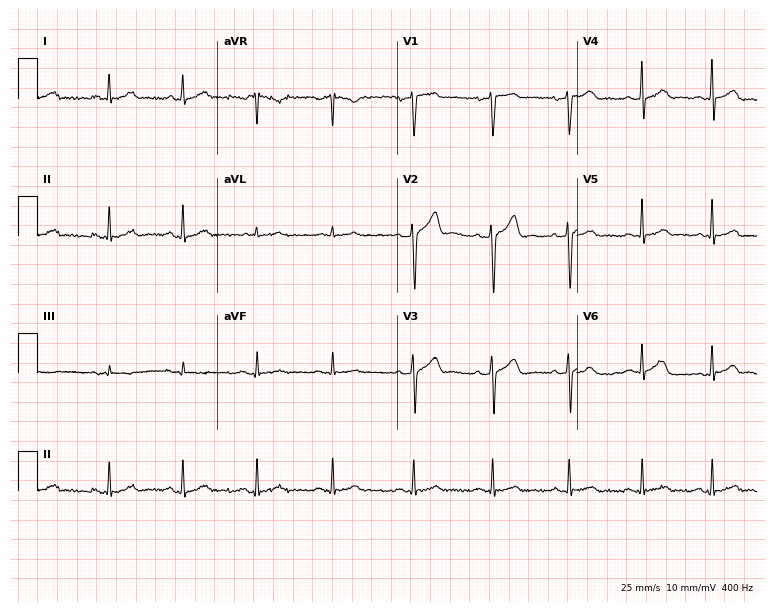
Standard 12-lead ECG recorded from a 36-year-old male. None of these six findings is recorded: first-degree AV block, right bundle branch block (RBBB), left bundle branch block (LBBB), sinus bradycardia, atrial fibrillation (AF), sinus tachycardia.